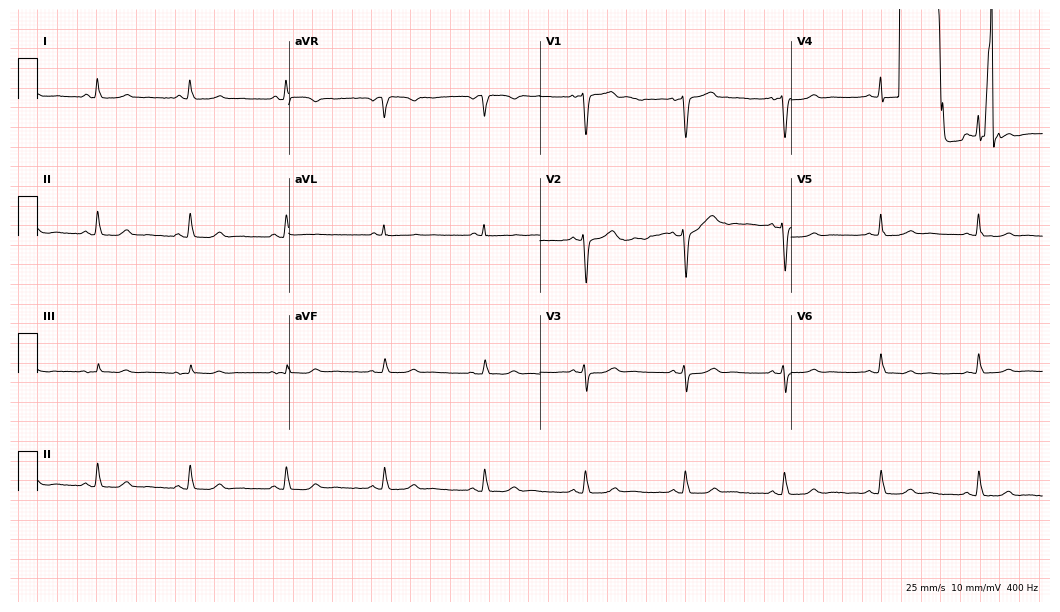
12-lead ECG from a female, 70 years old (10.2-second recording at 400 Hz). No first-degree AV block, right bundle branch block, left bundle branch block, sinus bradycardia, atrial fibrillation or sinus tachycardia recorded for this tracing. Only these six findings were labelled.